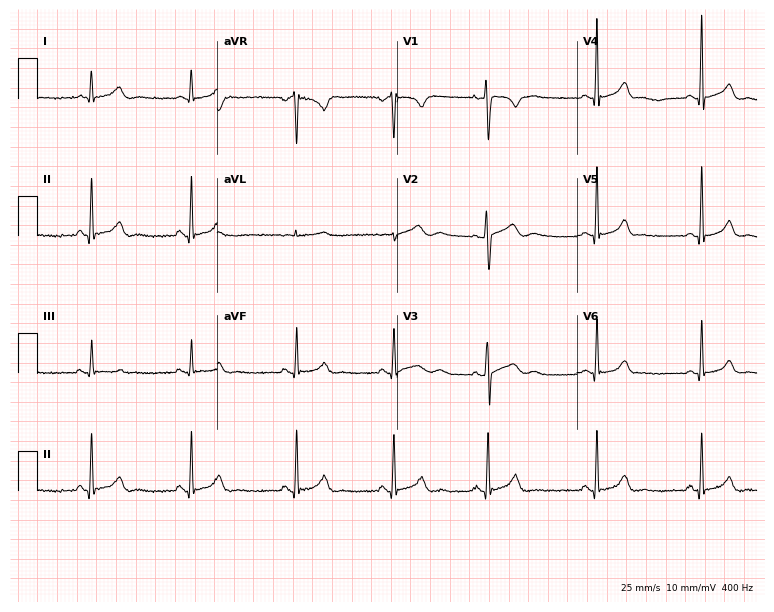
12-lead ECG (7.3-second recording at 400 Hz) from a 26-year-old female patient. Labelled as a normal ECG.